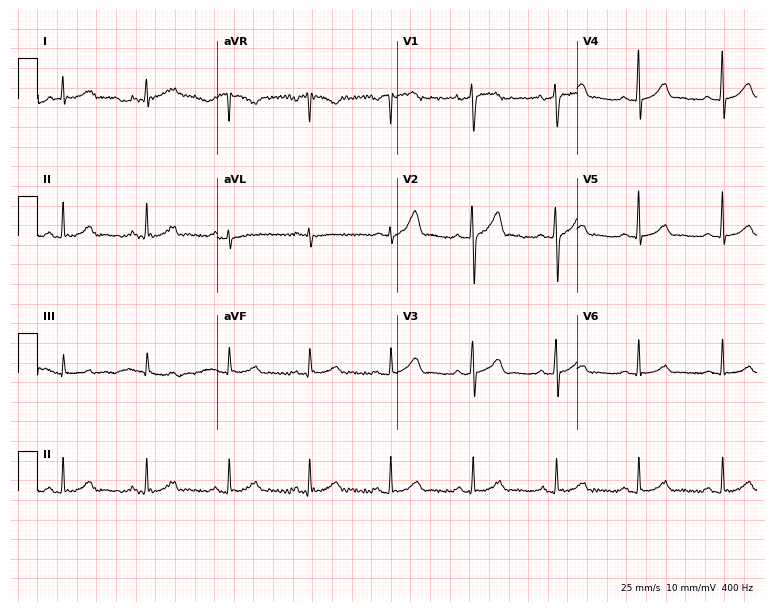
ECG (7.3-second recording at 400 Hz) — a 51-year-old male patient. Labelled as a normal ECG.